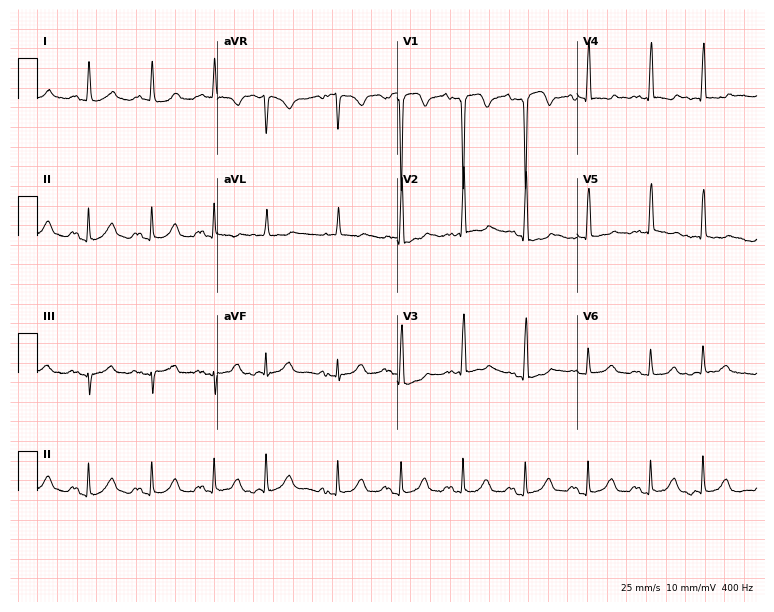
12-lead ECG from a woman, 76 years old (7.3-second recording at 400 Hz). Recorded interpretation: within normal limits.